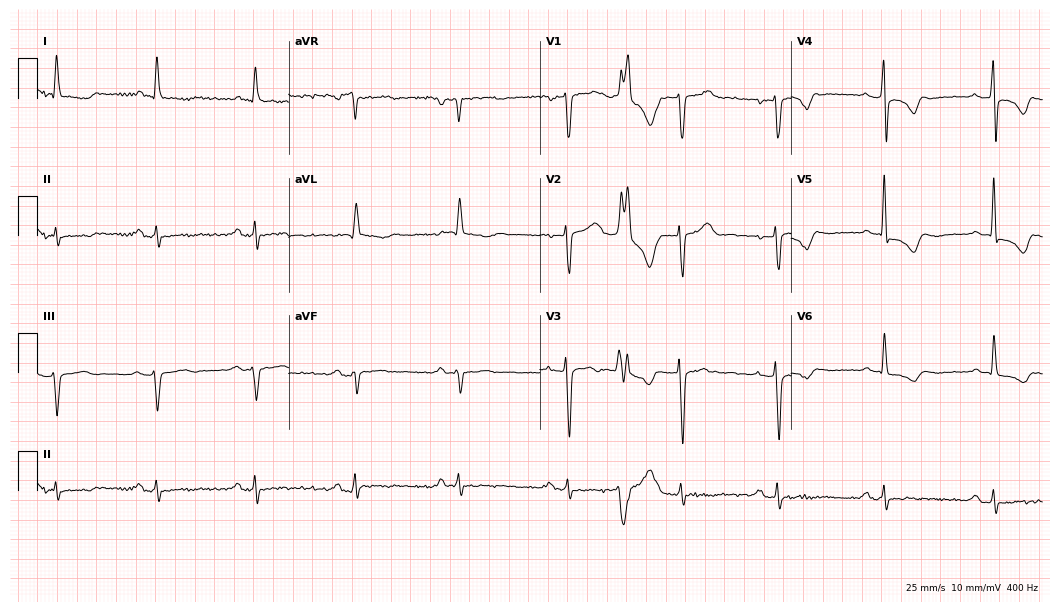
12-lead ECG (10.2-second recording at 400 Hz) from a man, 59 years old. Screened for six findings — first-degree AV block, right bundle branch block, left bundle branch block, sinus bradycardia, atrial fibrillation, sinus tachycardia — none is recorded. Only these six findings were labelled.